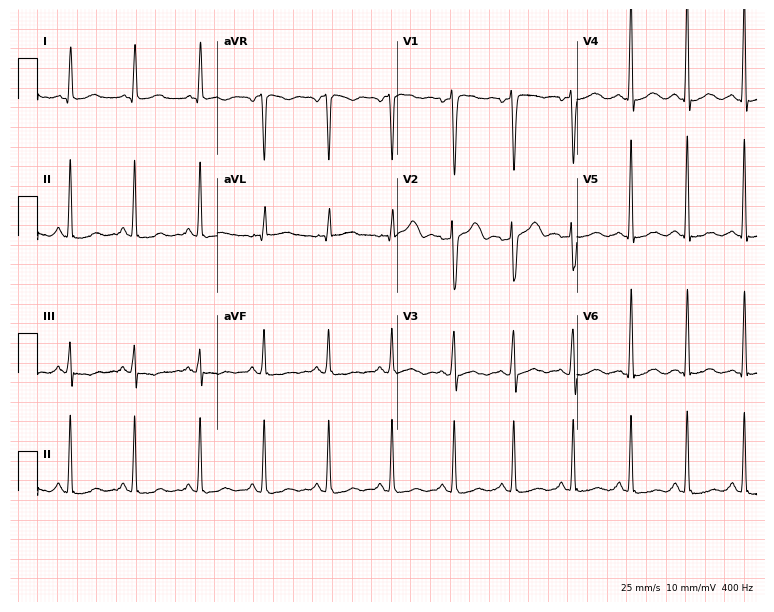
Electrocardiogram, a 39-year-old female. Of the six screened findings (first-degree AV block, right bundle branch block, left bundle branch block, sinus bradycardia, atrial fibrillation, sinus tachycardia), none is recorded. Other findings, if any, are not listed.